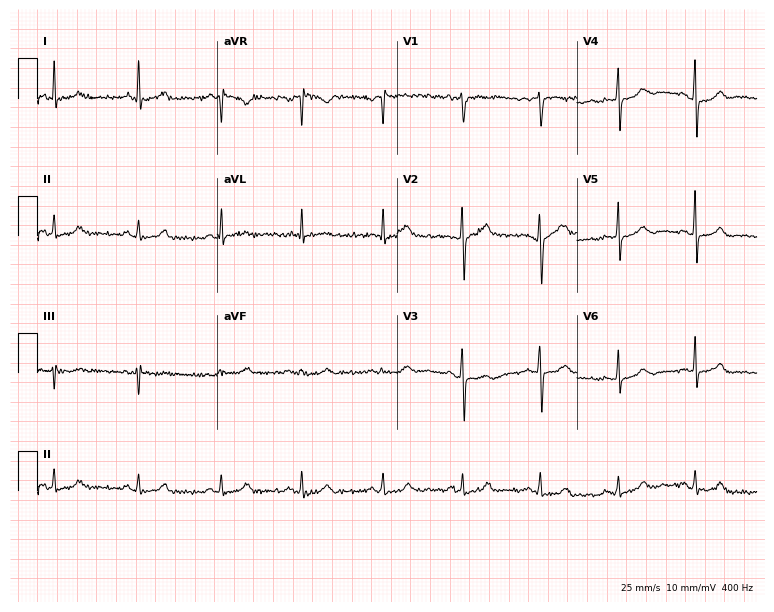
Electrocardiogram, a 36-year-old female patient. Of the six screened findings (first-degree AV block, right bundle branch block (RBBB), left bundle branch block (LBBB), sinus bradycardia, atrial fibrillation (AF), sinus tachycardia), none is recorded.